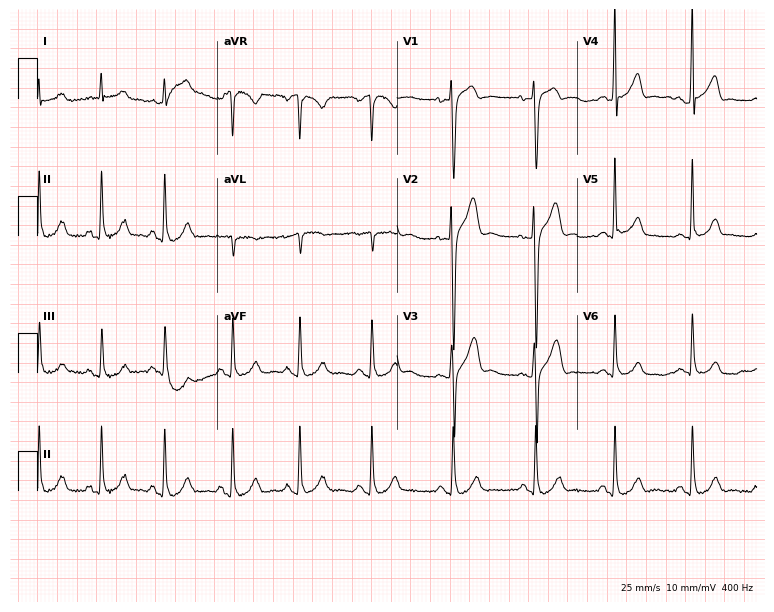
12-lead ECG (7.3-second recording at 400 Hz) from a 27-year-old male patient. Labelled as a normal ECG.